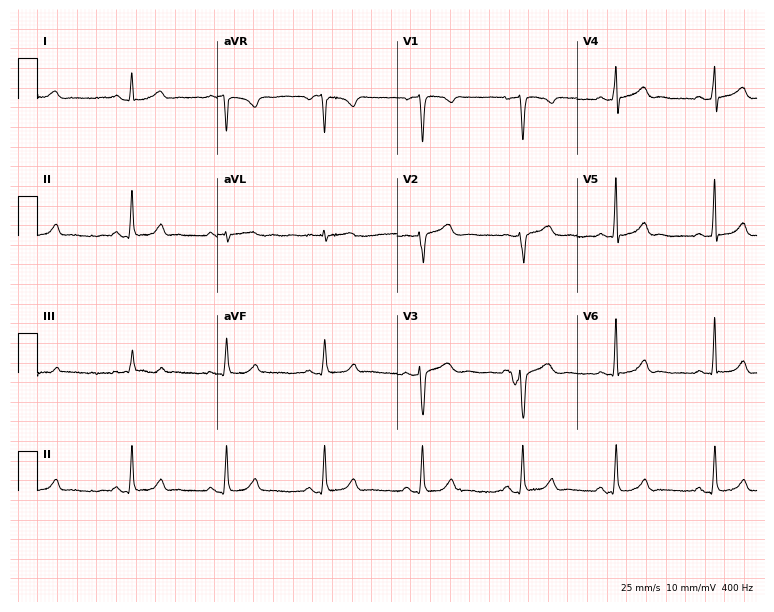
12-lead ECG from a woman, 39 years old. Recorded interpretation: within normal limits.